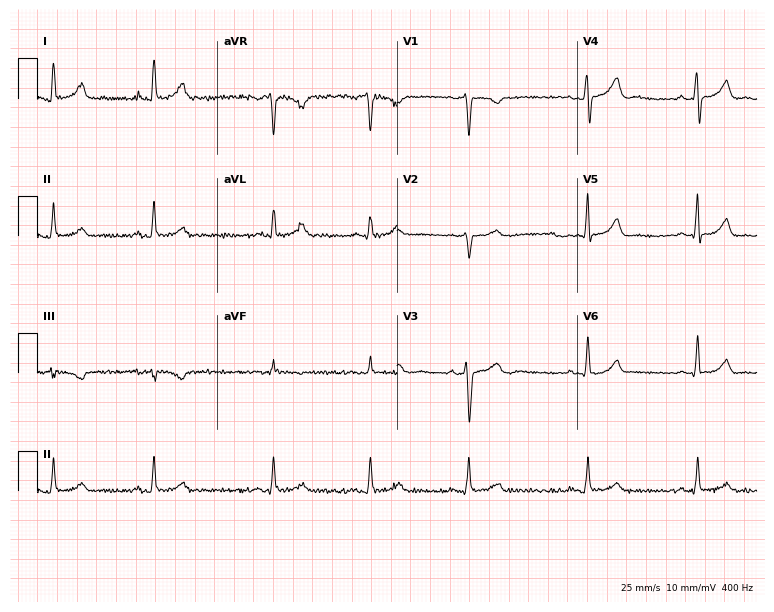
12-lead ECG from a woman, 48 years old. No first-degree AV block, right bundle branch block, left bundle branch block, sinus bradycardia, atrial fibrillation or sinus tachycardia recorded for this tracing.